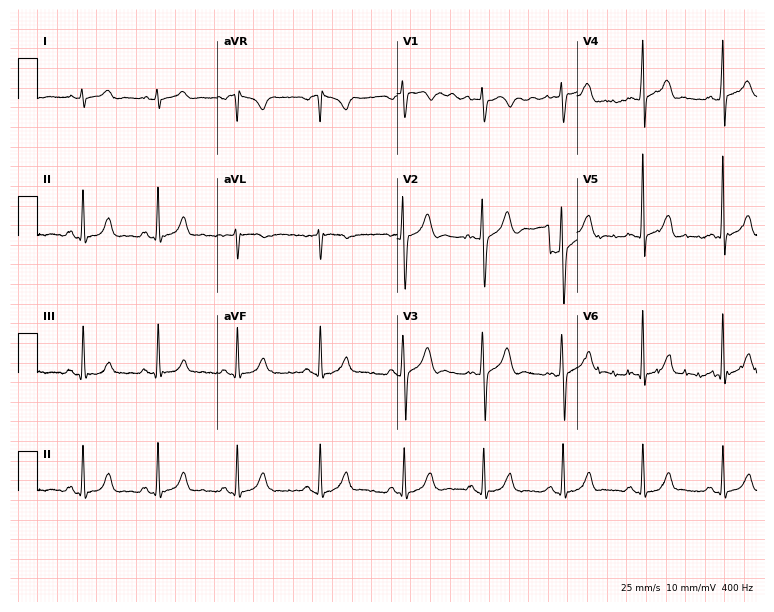
Electrocardiogram, a 30-year-old man. Overall reading on record: normal ECG.